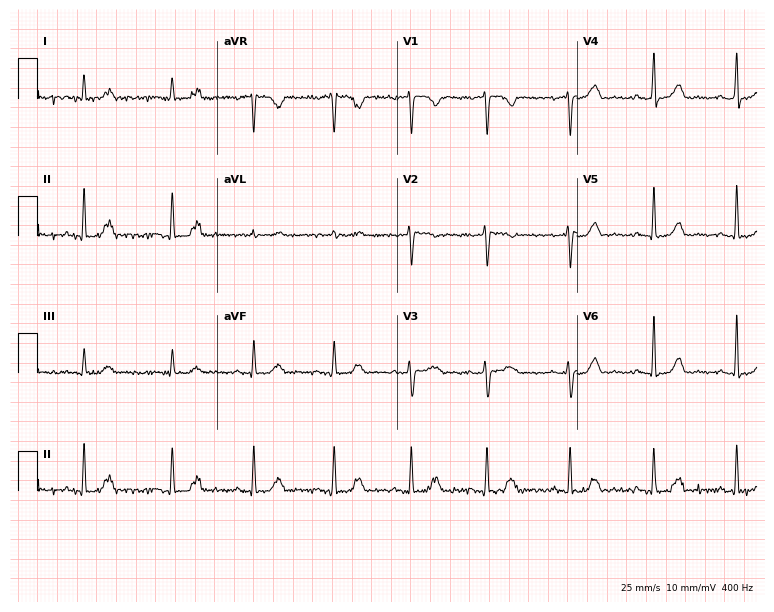
Electrocardiogram (7.3-second recording at 400 Hz), a female patient, 43 years old. Overall reading on record: normal ECG.